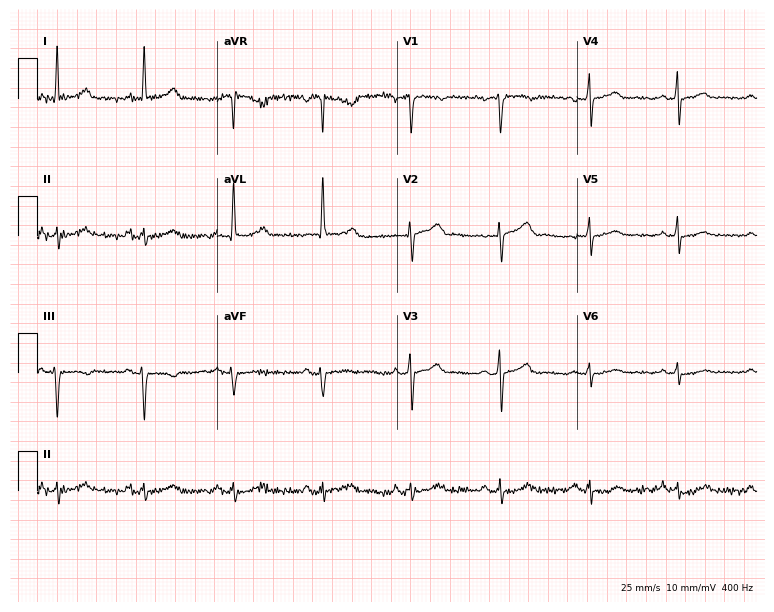
12-lead ECG from a 59-year-old female. Labelled as a normal ECG.